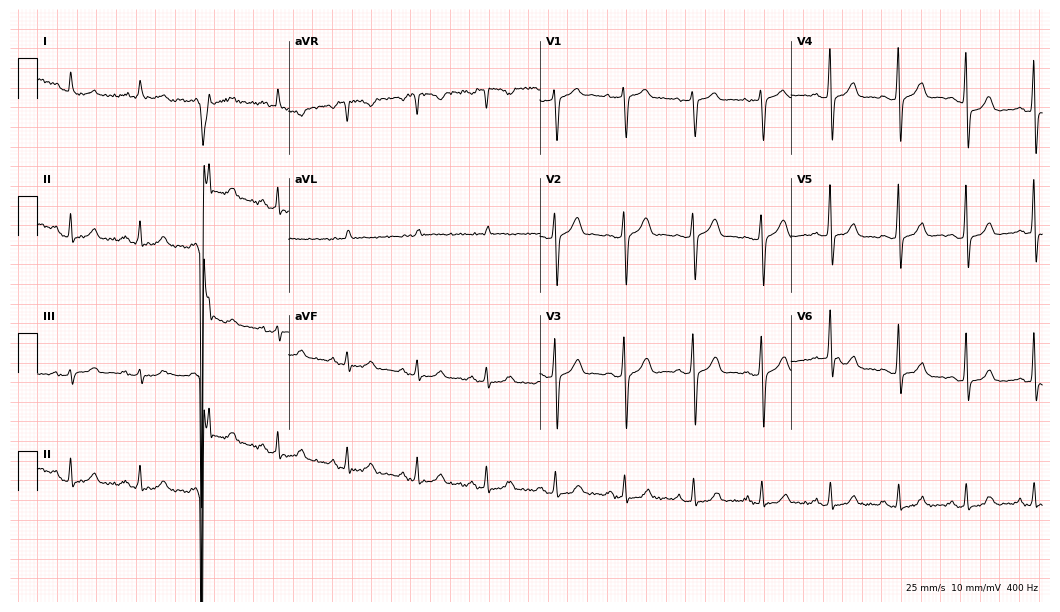
Electrocardiogram, a man, 68 years old. Overall reading on record: normal ECG.